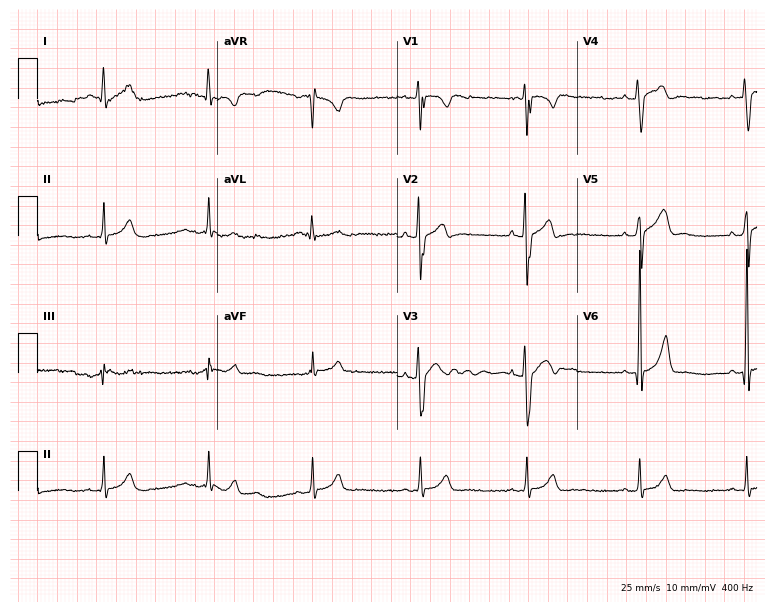
12-lead ECG from a man, 25 years old. Recorded interpretation: within normal limits.